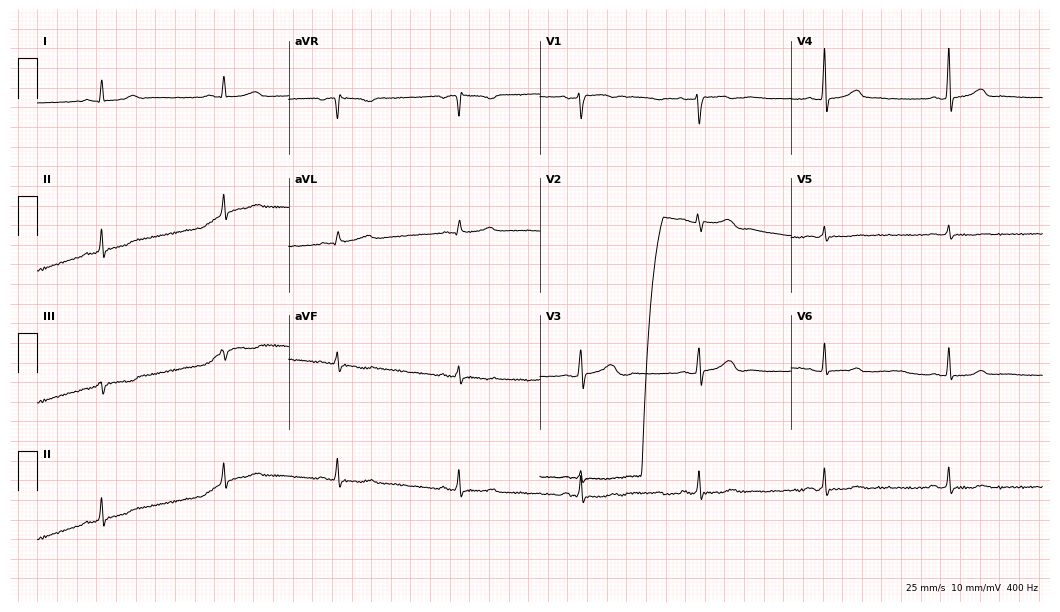
Standard 12-lead ECG recorded from a 26-year-old female patient (10.2-second recording at 400 Hz). Read as a normal ECG.